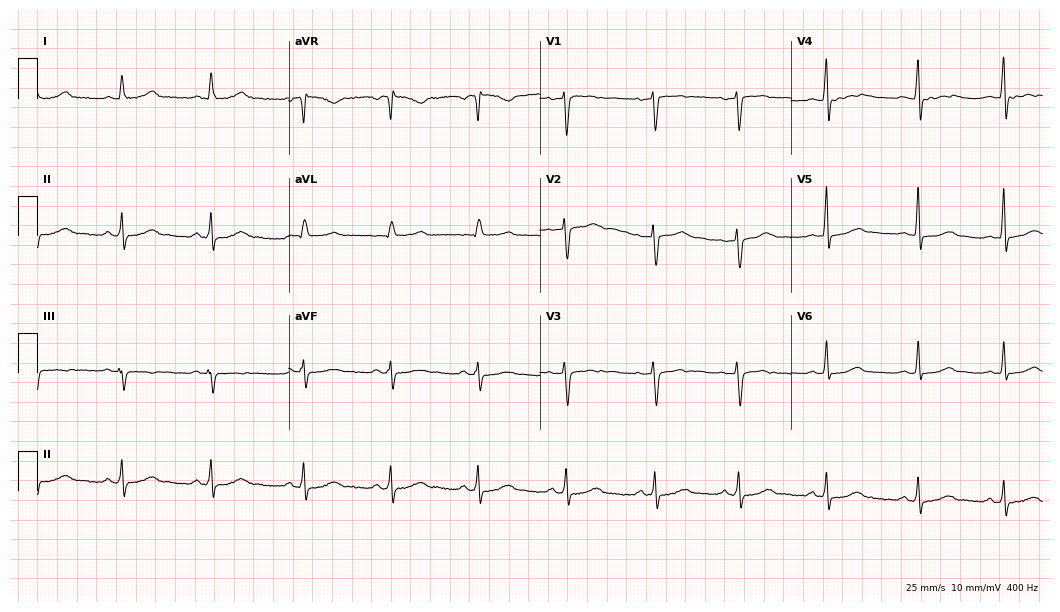
ECG — a female patient, 41 years old. Screened for six findings — first-degree AV block, right bundle branch block, left bundle branch block, sinus bradycardia, atrial fibrillation, sinus tachycardia — none is recorded. Only these six findings were labelled.